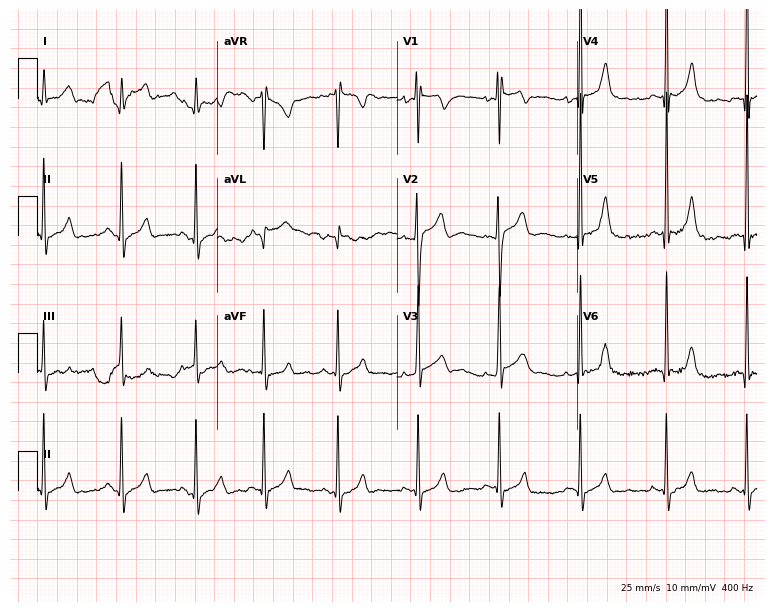
ECG — a 19-year-old male patient. Labelled as a normal ECG.